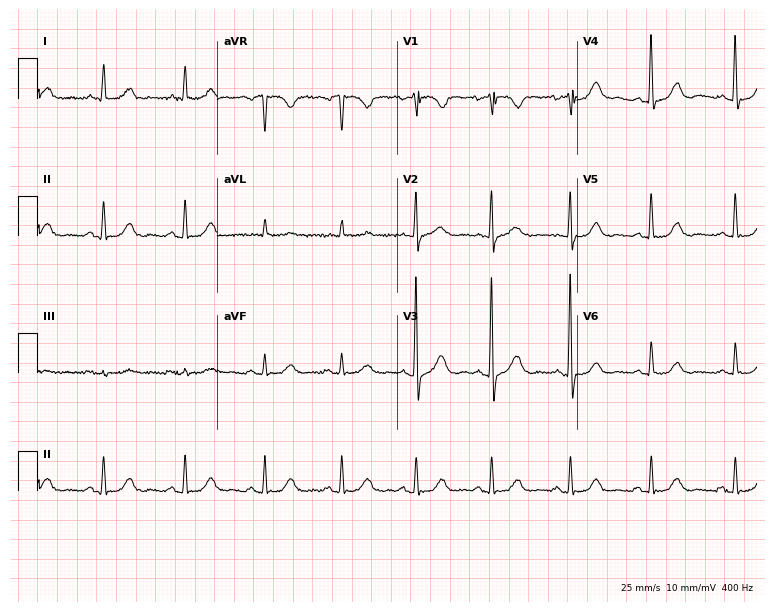
Electrocardiogram, a man, 71 years old. Overall reading on record: normal ECG.